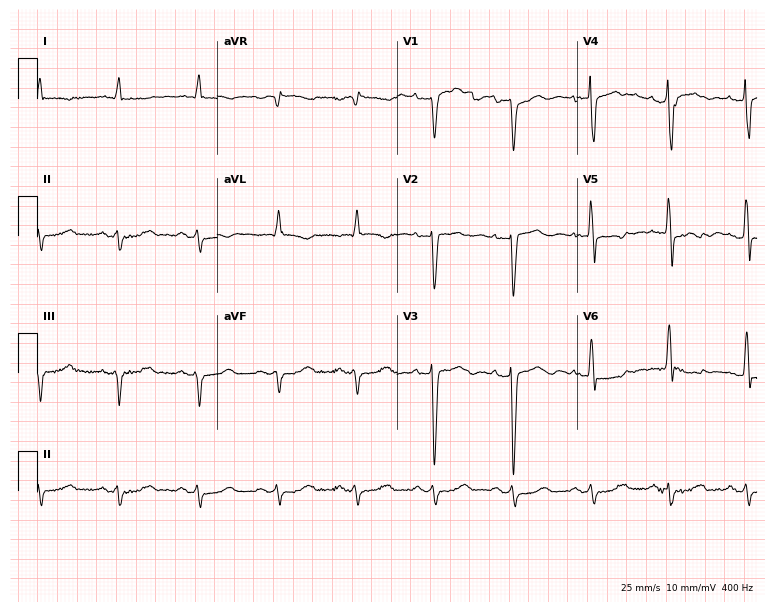
12-lead ECG from a man, 80 years old. Screened for six findings — first-degree AV block, right bundle branch block (RBBB), left bundle branch block (LBBB), sinus bradycardia, atrial fibrillation (AF), sinus tachycardia — none is recorded. Only these six findings were labelled.